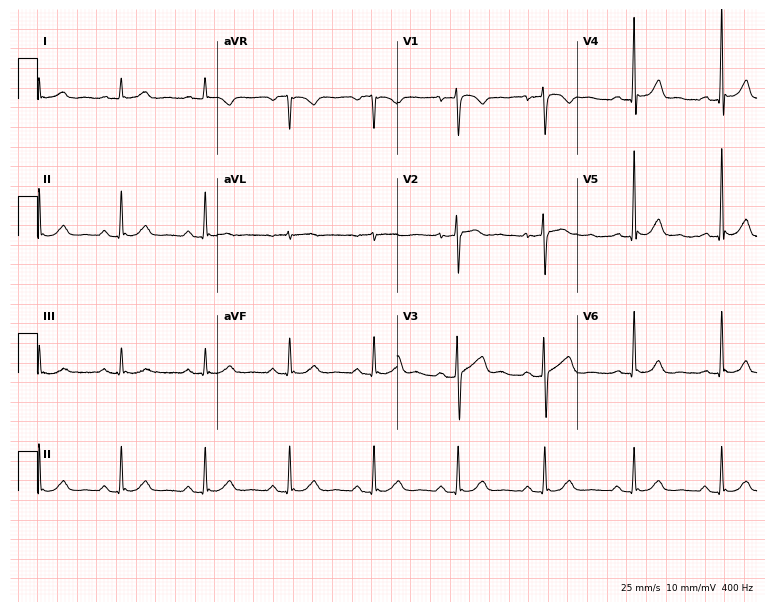
12-lead ECG from a 51-year-old male (7.3-second recording at 400 Hz). No first-degree AV block, right bundle branch block (RBBB), left bundle branch block (LBBB), sinus bradycardia, atrial fibrillation (AF) or sinus tachycardia recorded for this tracing. Other findings, if any, are not listed.